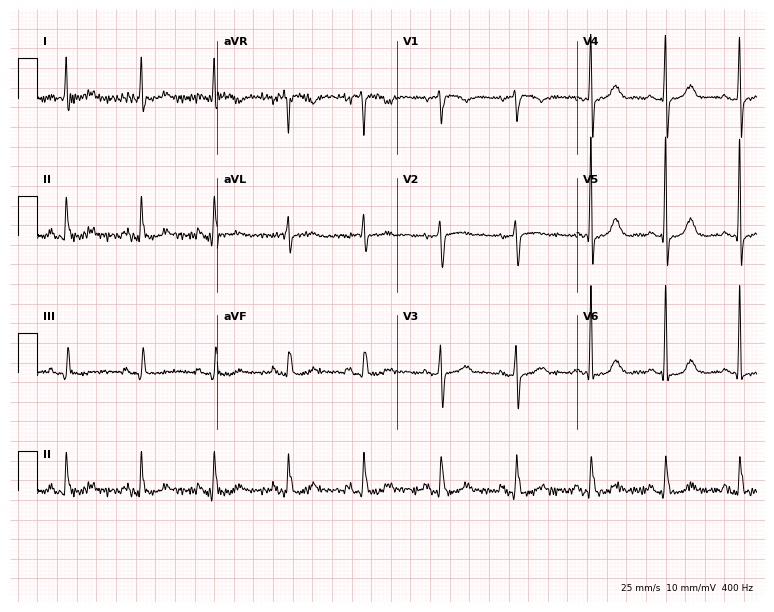
12-lead ECG from a 71-year-old female. Recorded interpretation: within normal limits.